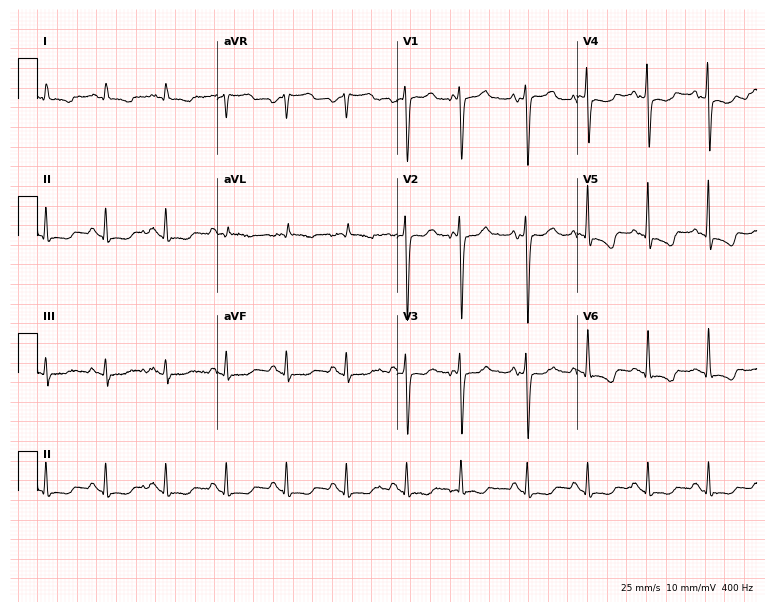
Standard 12-lead ECG recorded from a 76-year-old woman (7.3-second recording at 400 Hz). None of these six findings is recorded: first-degree AV block, right bundle branch block, left bundle branch block, sinus bradycardia, atrial fibrillation, sinus tachycardia. Only these six findings were labelled.